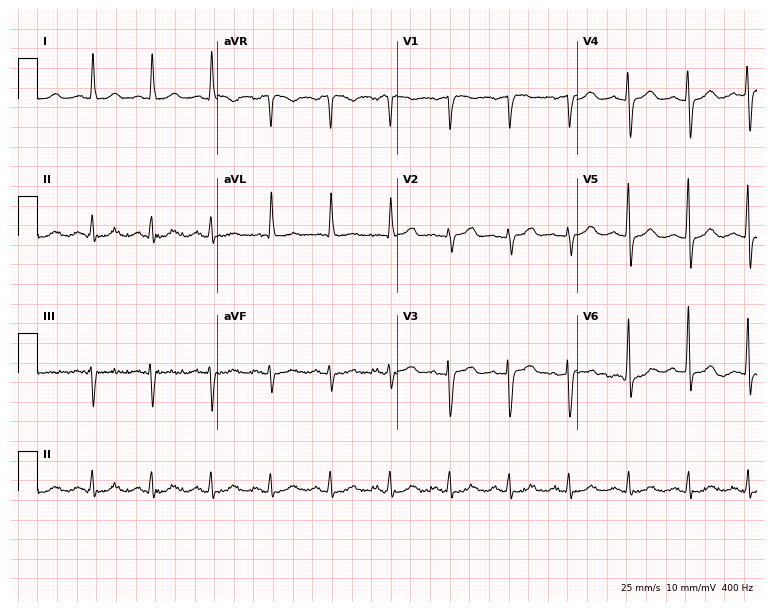
12-lead ECG from a 67-year-old female (7.3-second recording at 400 Hz). Recorded interpretation: within normal limits.